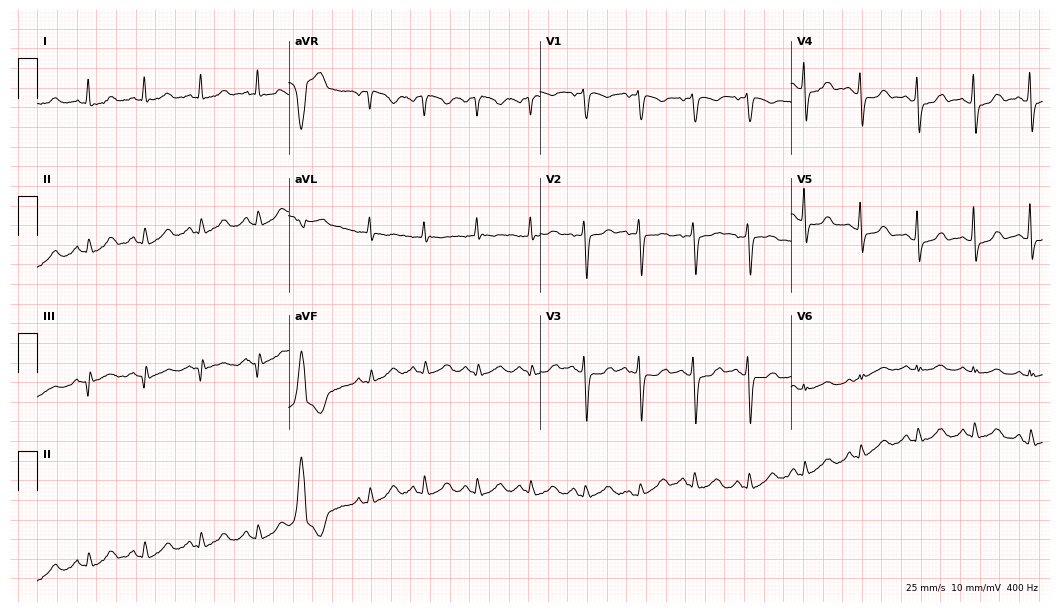
Resting 12-lead electrocardiogram. Patient: a 74-year-old female. None of these six findings is recorded: first-degree AV block, right bundle branch block, left bundle branch block, sinus bradycardia, atrial fibrillation, sinus tachycardia. Findings outside these six are not listed.